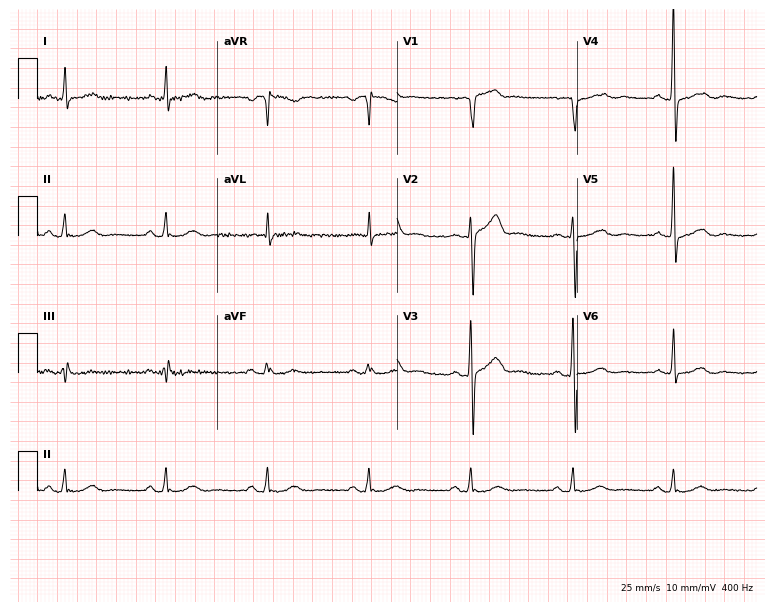
Standard 12-lead ECG recorded from a man, 57 years old (7.3-second recording at 400 Hz). None of these six findings is recorded: first-degree AV block, right bundle branch block, left bundle branch block, sinus bradycardia, atrial fibrillation, sinus tachycardia. Other findings, if any, are not listed.